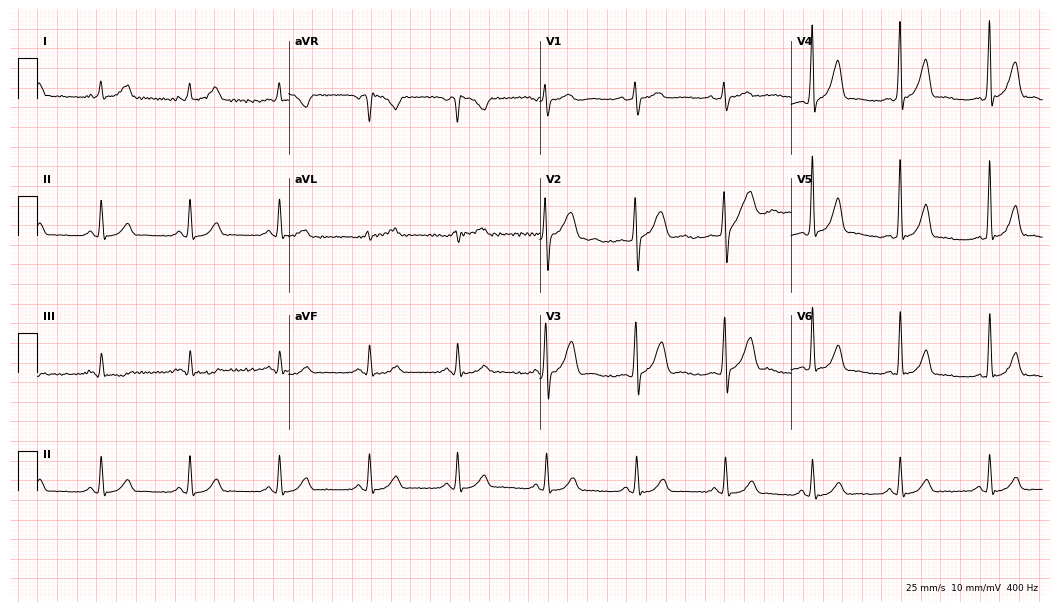
Electrocardiogram (10.2-second recording at 400 Hz), a male patient, 49 years old. Overall reading on record: normal ECG.